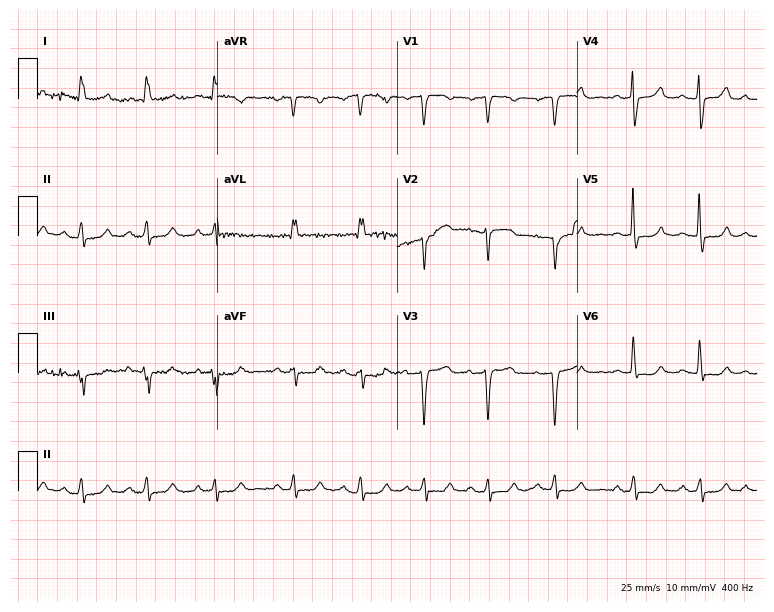
ECG — a 76-year-old female patient. Screened for six findings — first-degree AV block, right bundle branch block (RBBB), left bundle branch block (LBBB), sinus bradycardia, atrial fibrillation (AF), sinus tachycardia — none is recorded. Other findings, if any, are not listed.